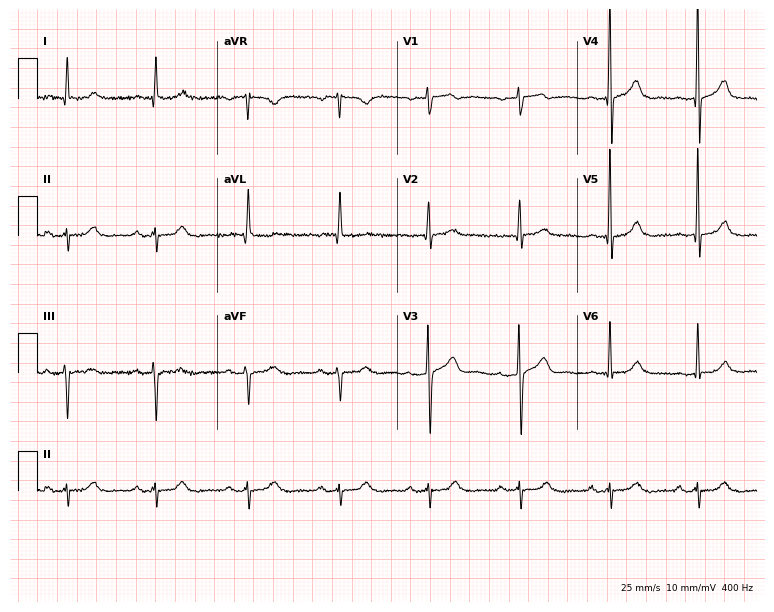
ECG — a male, 83 years old. Screened for six findings — first-degree AV block, right bundle branch block (RBBB), left bundle branch block (LBBB), sinus bradycardia, atrial fibrillation (AF), sinus tachycardia — none is recorded.